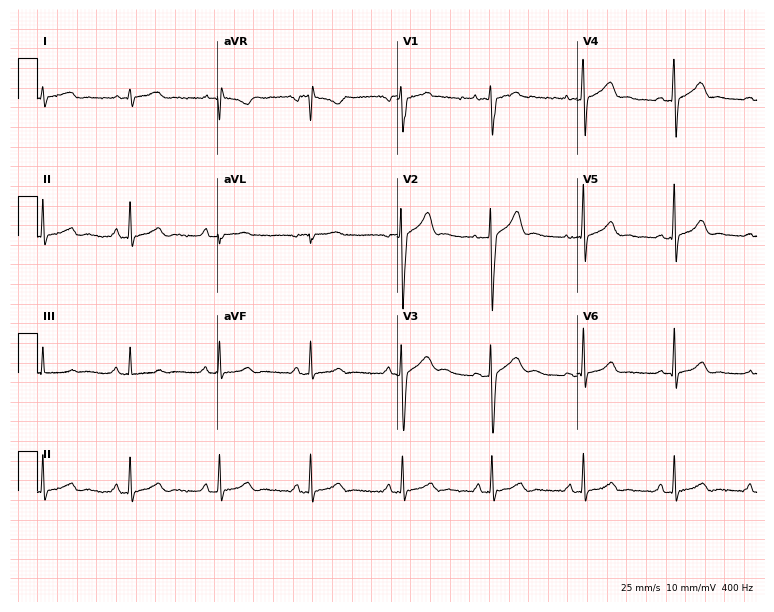
Standard 12-lead ECG recorded from a male patient, 27 years old. Read as a normal ECG.